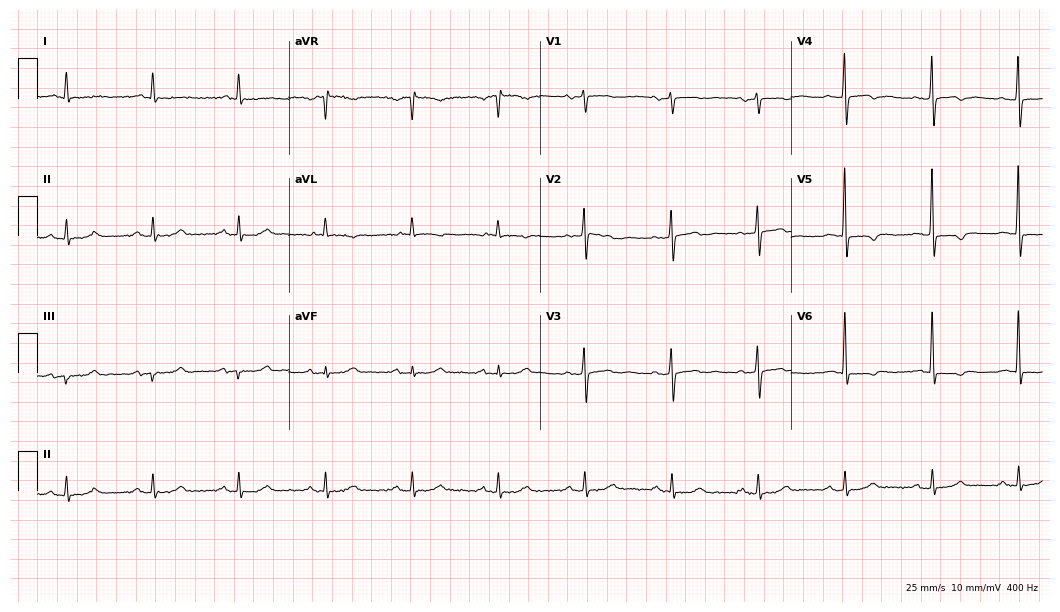
ECG — a male, 76 years old. Screened for six findings — first-degree AV block, right bundle branch block, left bundle branch block, sinus bradycardia, atrial fibrillation, sinus tachycardia — none is recorded. Findings outside these six are not listed.